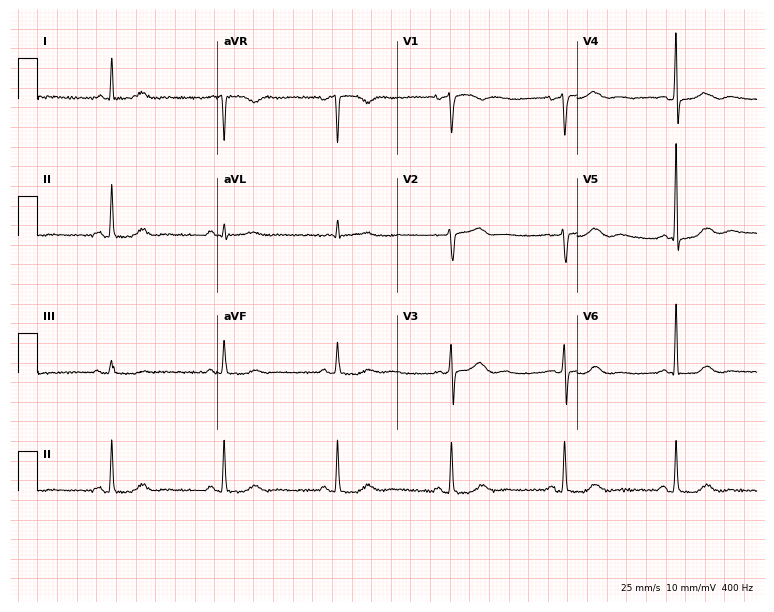
ECG — an 83-year-old female patient. Screened for six findings — first-degree AV block, right bundle branch block, left bundle branch block, sinus bradycardia, atrial fibrillation, sinus tachycardia — none is recorded.